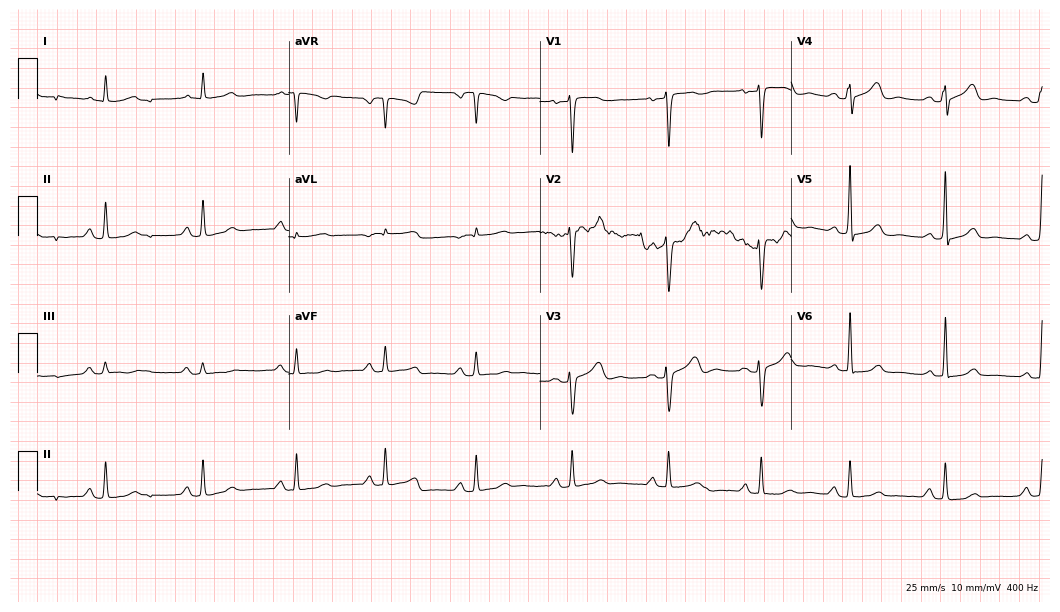
Electrocardiogram (10.2-second recording at 400 Hz), a 63-year-old female patient. Overall reading on record: normal ECG.